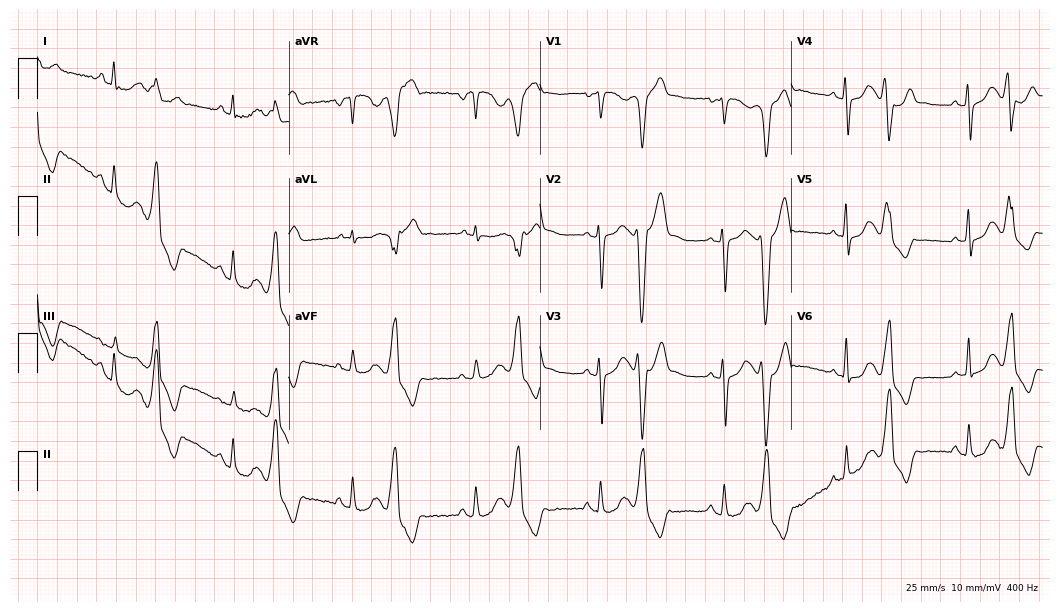
Resting 12-lead electrocardiogram. Patient: a 46-year-old woman. None of these six findings is recorded: first-degree AV block, right bundle branch block (RBBB), left bundle branch block (LBBB), sinus bradycardia, atrial fibrillation (AF), sinus tachycardia. Only these six findings were labelled.